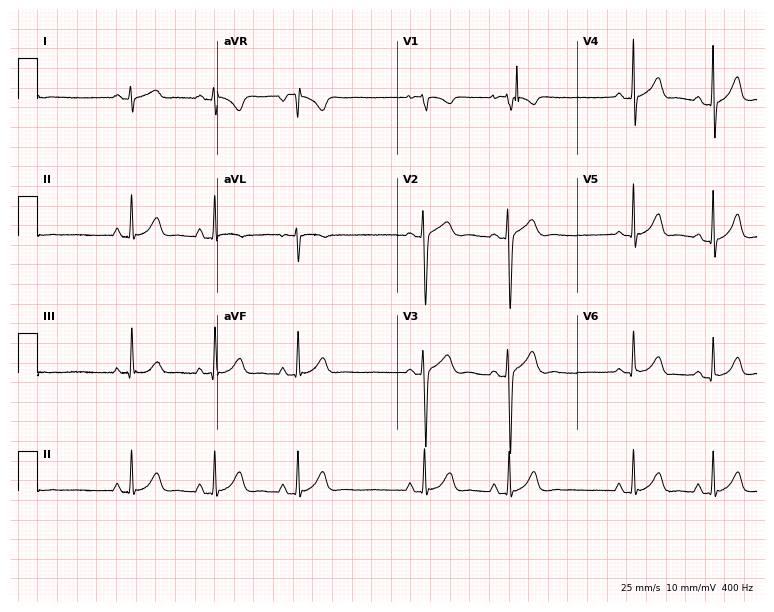
ECG (7.3-second recording at 400 Hz) — a 17-year-old female patient. Screened for six findings — first-degree AV block, right bundle branch block (RBBB), left bundle branch block (LBBB), sinus bradycardia, atrial fibrillation (AF), sinus tachycardia — none is recorded.